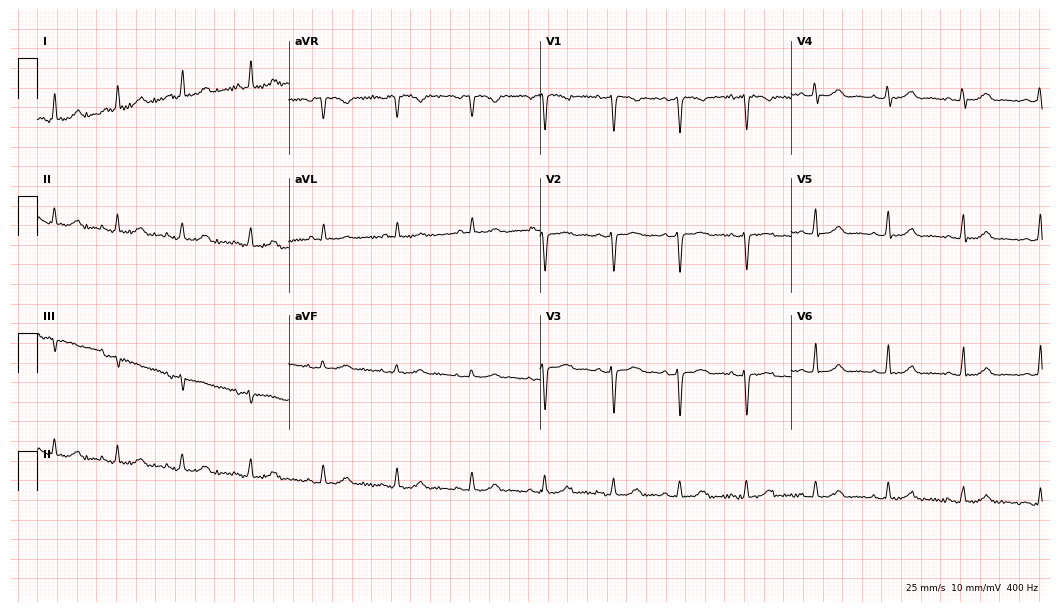
Resting 12-lead electrocardiogram (10.2-second recording at 400 Hz). Patient: a female, 34 years old. None of these six findings is recorded: first-degree AV block, right bundle branch block, left bundle branch block, sinus bradycardia, atrial fibrillation, sinus tachycardia.